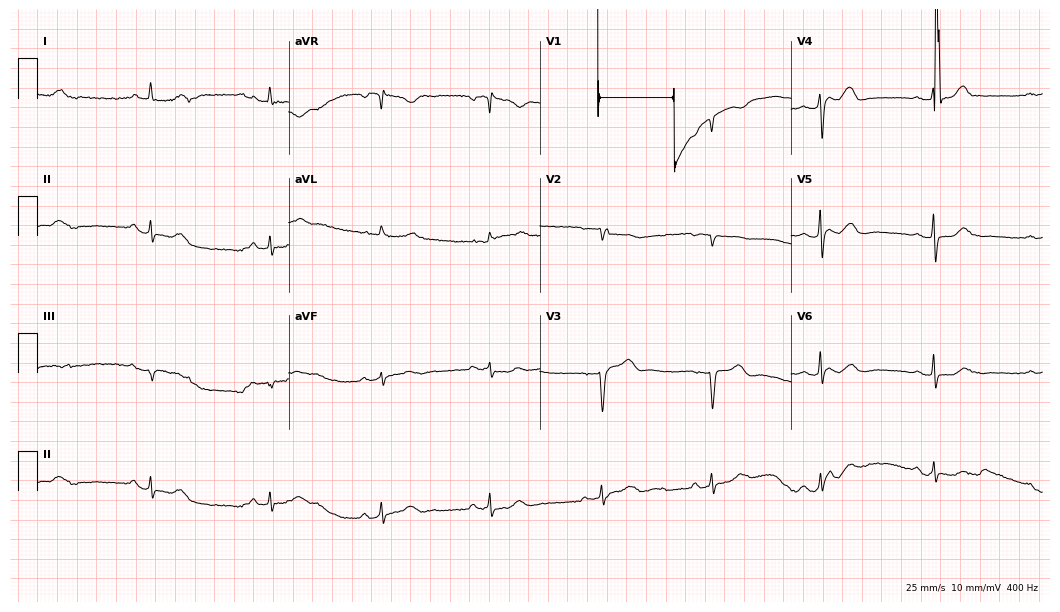
12-lead ECG (10.2-second recording at 400 Hz) from a 71-year-old female. Screened for six findings — first-degree AV block, right bundle branch block (RBBB), left bundle branch block (LBBB), sinus bradycardia, atrial fibrillation (AF), sinus tachycardia — none is recorded.